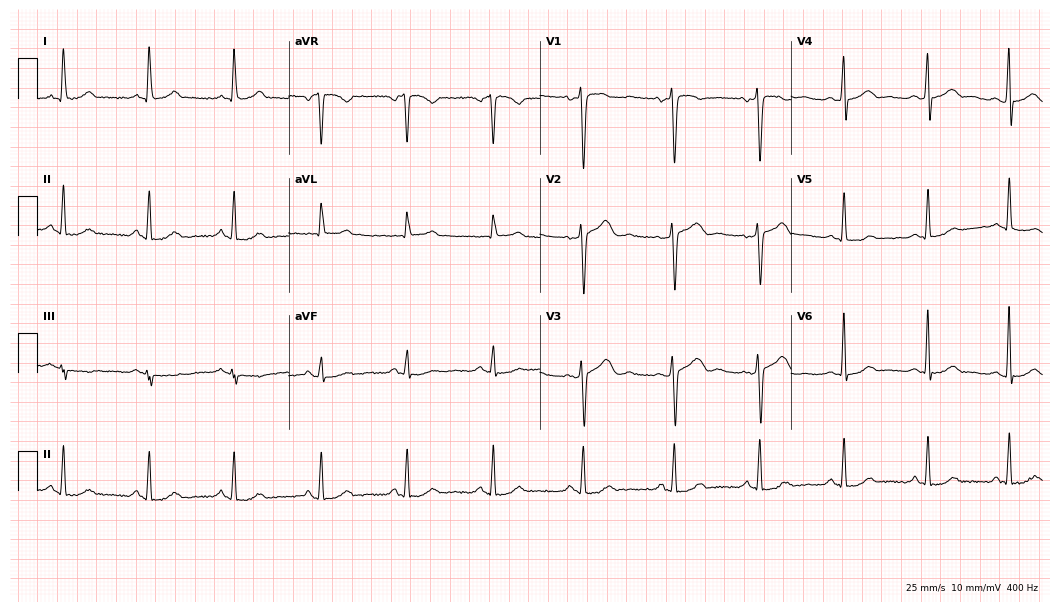
ECG — a woman, 32 years old. Labelled as a normal ECG.